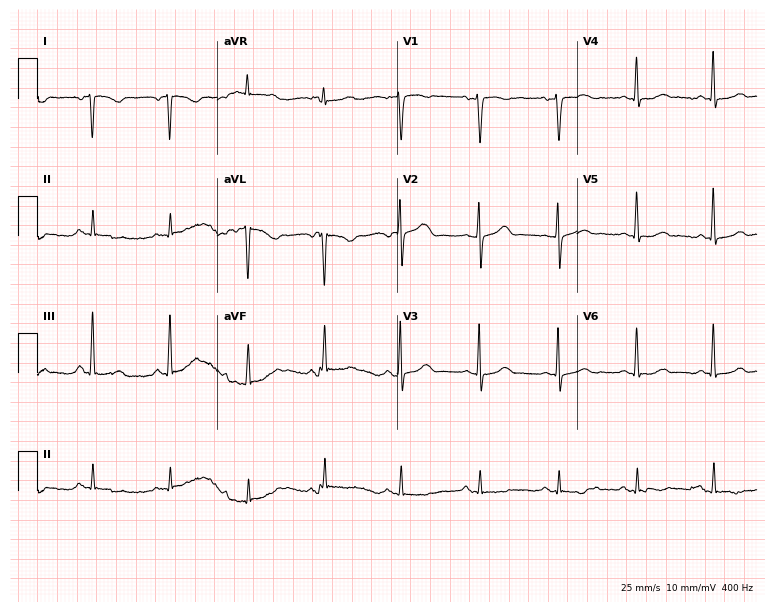
12-lead ECG from a 44-year-old female patient. Screened for six findings — first-degree AV block, right bundle branch block, left bundle branch block, sinus bradycardia, atrial fibrillation, sinus tachycardia — none is recorded.